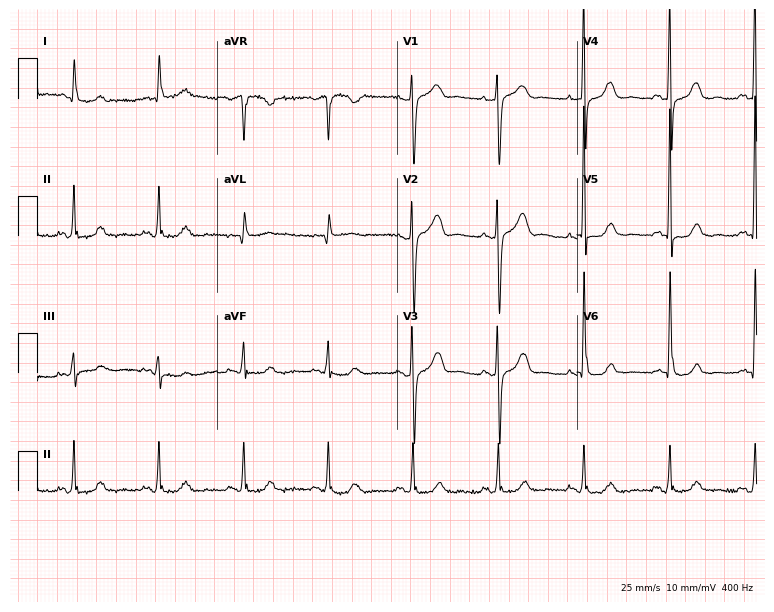
ECG (7.3-second recording at 400 Hz) — a 67-year-old female. Labelled as a normal ECG.